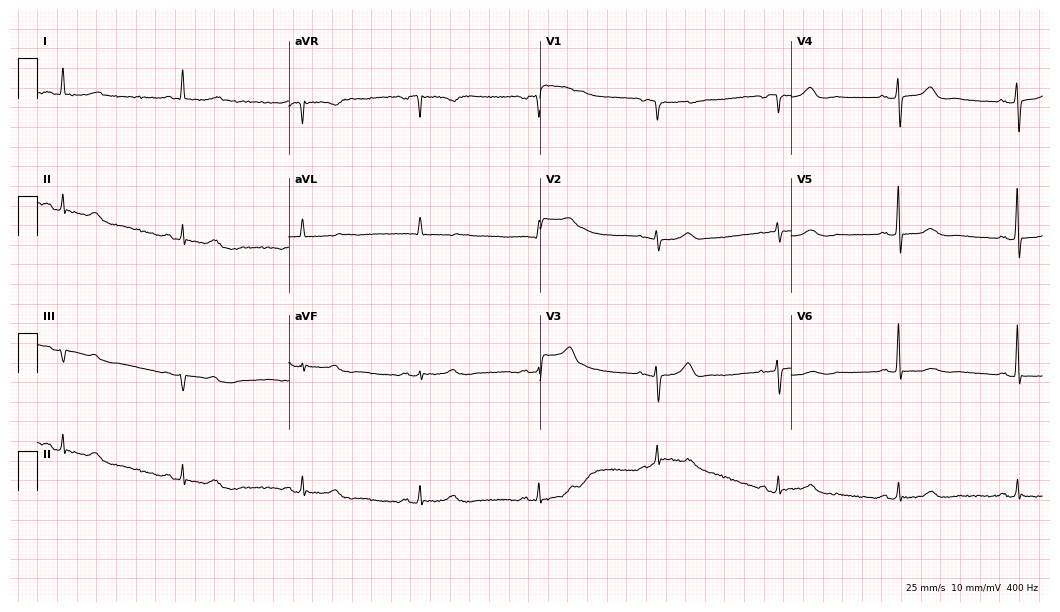
Standard 12-lead ECG recorded from an 80-year-old woman. Read as a normal ECG.